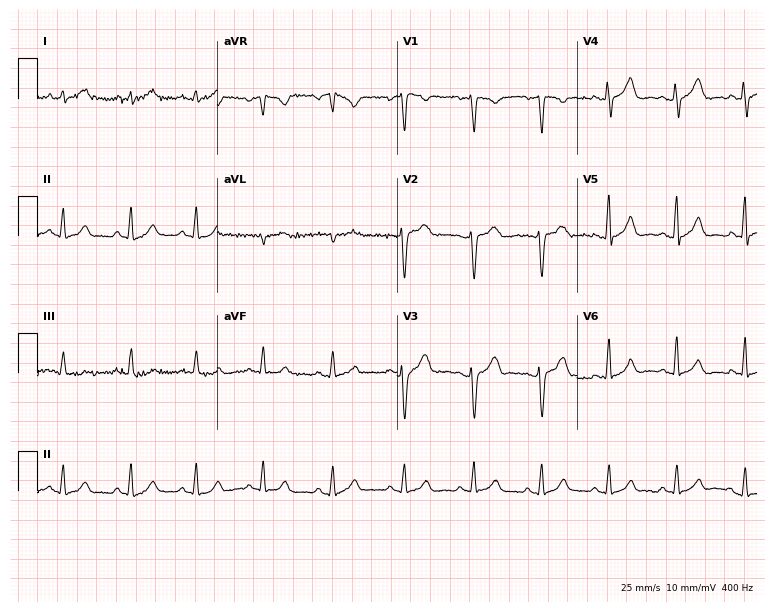
Resting 12-lead electrocardiogram. Patient: a 30-year-old female. None of these six findings is recorded: first-degree AV block, right bundle branch block (RBBB), left bundle branch block (LBBB), sinus bradycardia, atrial fibrillation (AF), sinus tachycardia. Only these six findings were labelled.